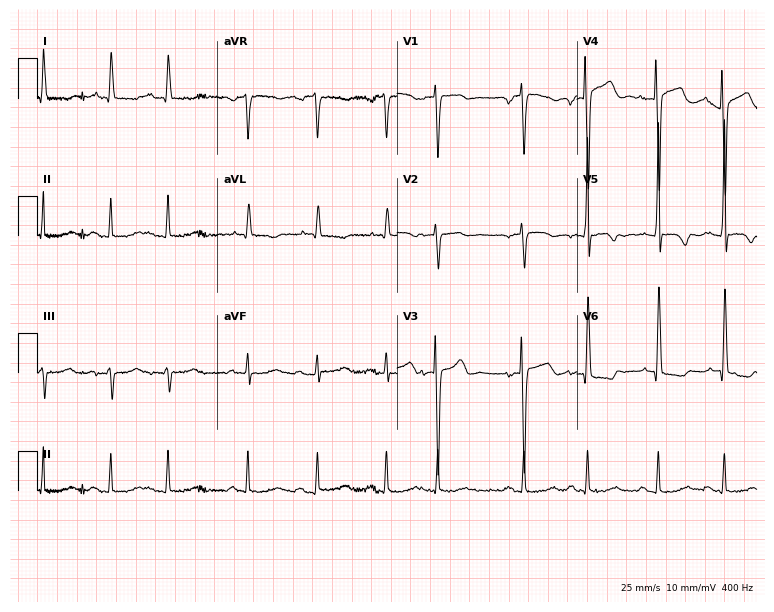
12-lead ECG from an 80-year-old male patient. Screened for six findings — first-degree AV block, right bundle branch block (RBBB), left bundle branch block (LBBB), sinus bradycardia, atrial fibrillation (AF), sinus tachycardia — none is recorded. Findings outside these six are not listed.